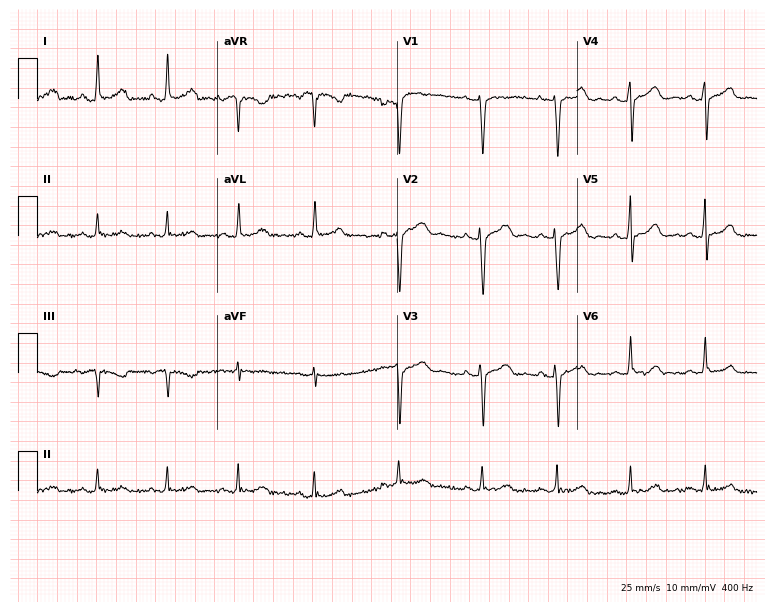
12-lead ECG (7.3-second recording at 400 Hz) from a female, 41 years old. Labelled as a normal ECG.